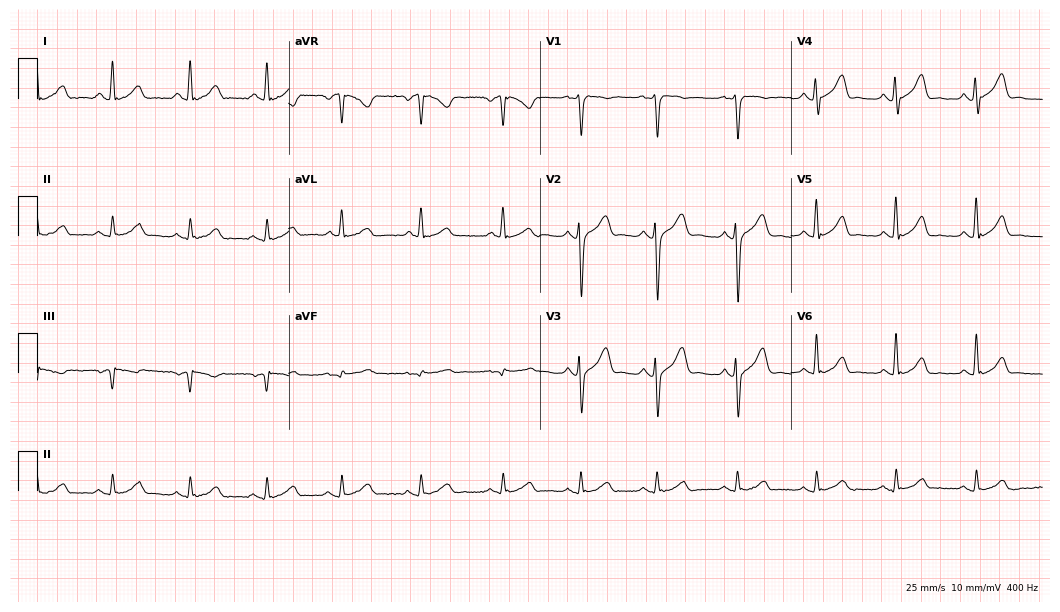
Standard 12-lead ECG recorded from a male, 27 years old. Read as a normal ECG.